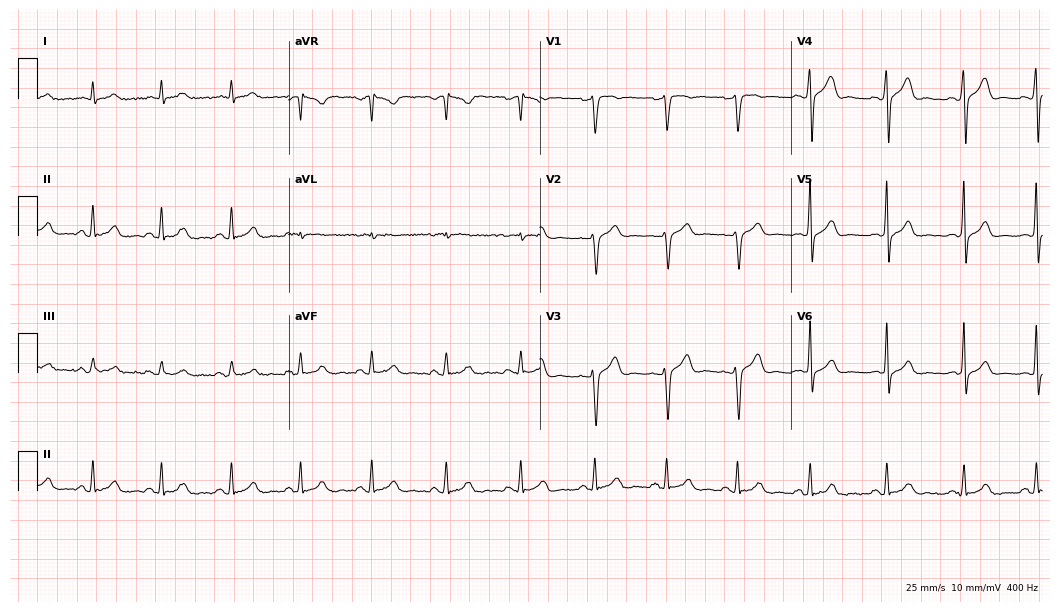
12-lead ECG from a male patient, 41 years old. Labelled as a normal ECG.